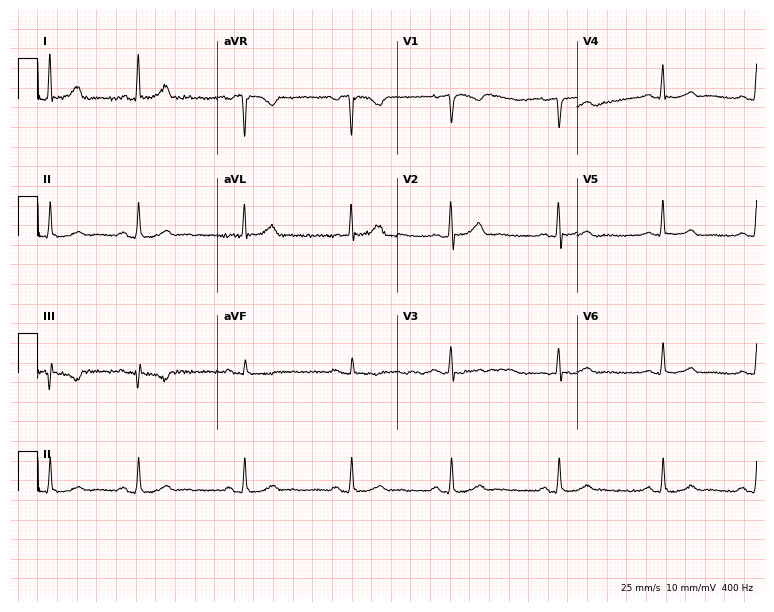
Electrocardiogram, a 43-year-old female. Overall reading on record: normal ECG.